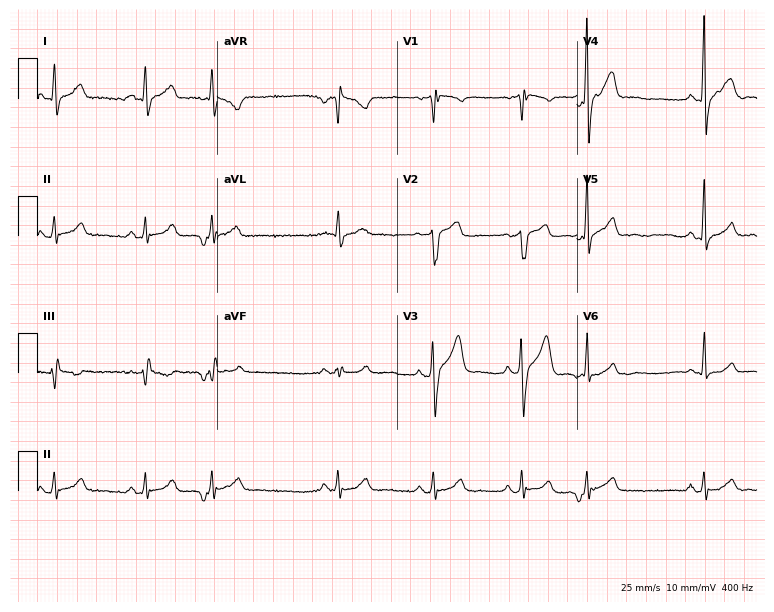
Standard 12-lead ECG recorded from a male patient, 45 years old. None of these six findings is recorded: first-degree AV block, right bundle branch block (RBBB), left bundle branch block (LBBB), sinus bradycardia, atrial fibrillation (AF), sinus tachycardia.